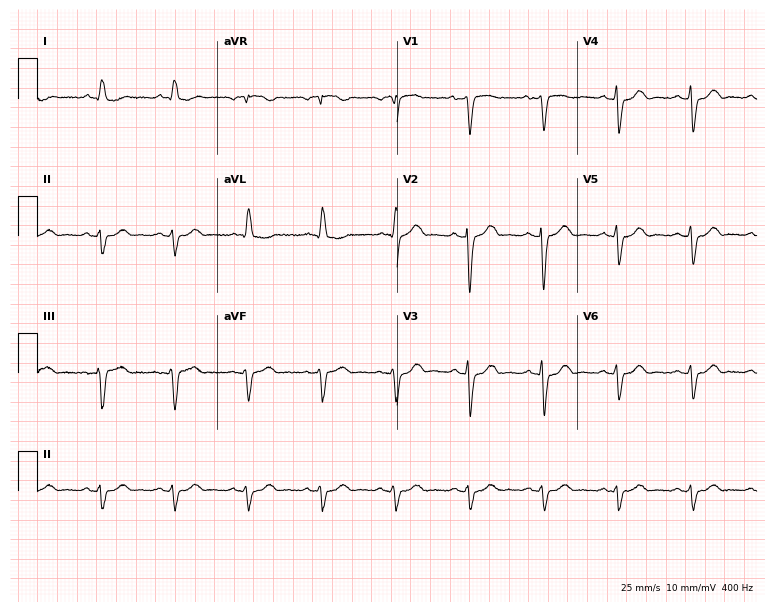
12-lead ECG from an 80-year-old male. Screened for six findings — first-degree AV block, right bundle branch block (RBBB), left bundle branch block (LBBB), sinus bradycardia, atrial fibrillation (AF), sinus tachycardia — none is recorded. Findings outside these six are not listed.